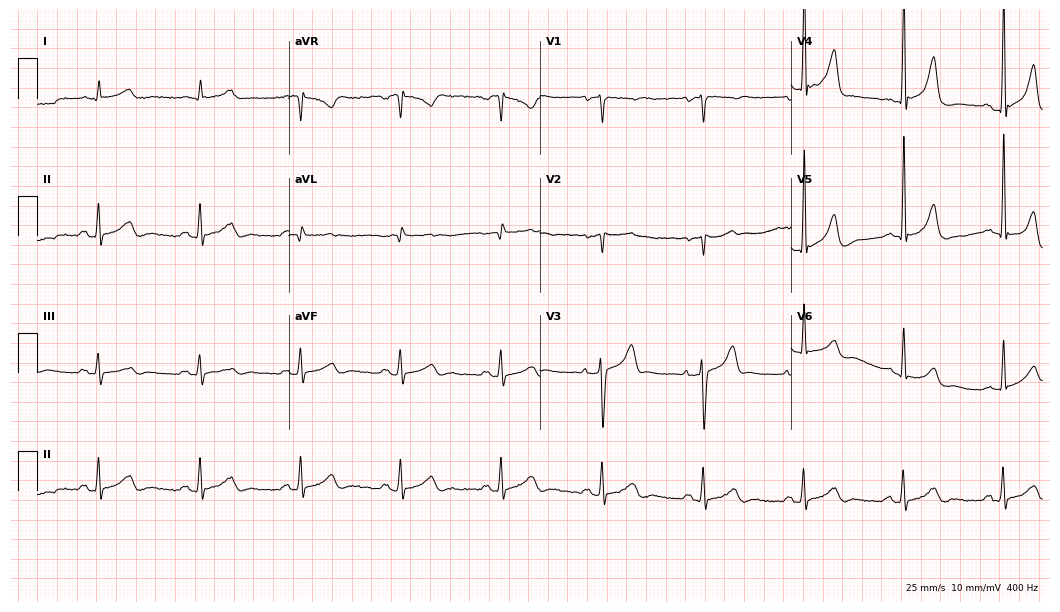
ECG — a 66-year-old male patient. Screened for six findings — first-degree AV block, right bundle branch block, left bundle branch block, sinus bradycardia, atrial fibrillation, sinus tachycardia — none is recorded.